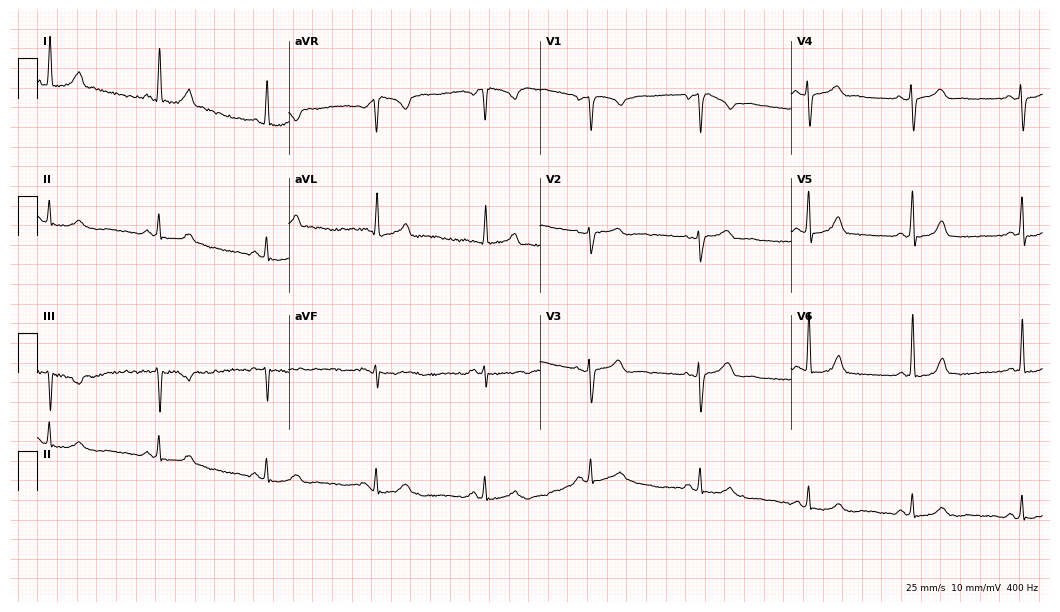
12-lead ECG from a female patient, 59 years old (10.2-second recording at 400 Hz). No first-degree AV block, right bundle branch block, left bundle branch block, sinus bradycardia, atrial fibrillation or sinus tachycardia recorded for this tracing. Other findings, if any, are not listed.